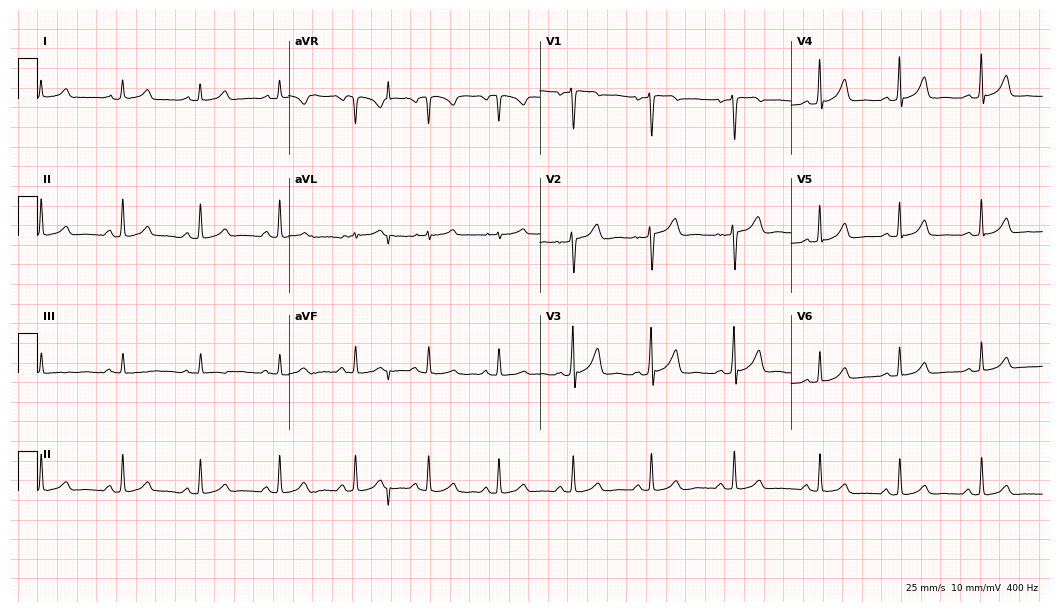
ECG — a 31-year-old female patient. Screened for six findings — first-degree AV block, right bundle branch block, left bundle branch block, sinus bradycardia, atrial fibrillation, sinus tachycardia — none is recorded. Only these six findings were labelled.